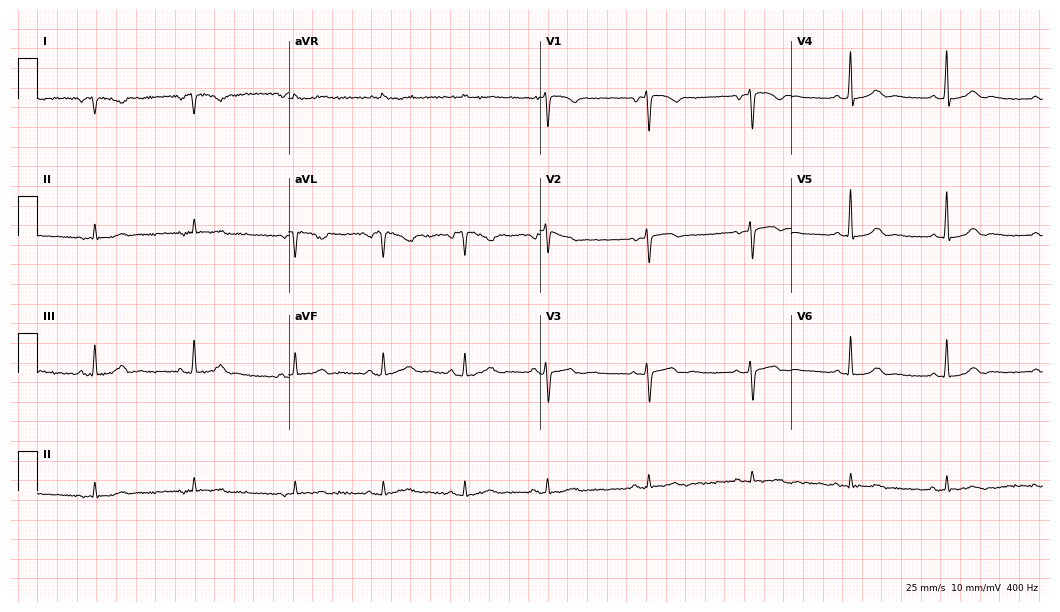
12-lead ECG (10.2-second recording at 400 Hz) from a female patient, 49 years old. Screened for six findings — first-degree AV block, right bundle branch block, left bundle branch block, sinus bradycardia, atrial fibrillation, sinus tachycardia — none is recorded.